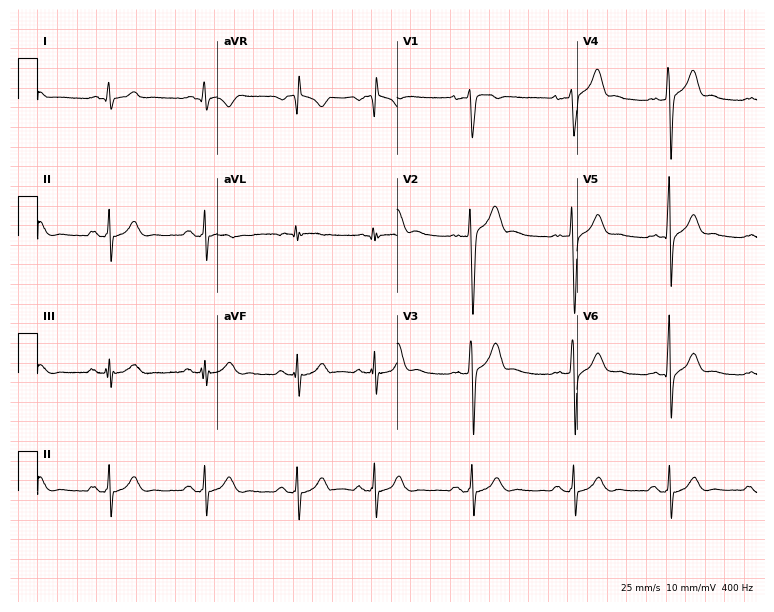
Resting 12-lead electrocardiogram. Patient: a male, 25 years old. None of these six findings is recorded: first-degree AV block, right bundle branch block, left bundle branch block, sinus bradycardia, atrial fibrillation, sinus tachycardia.